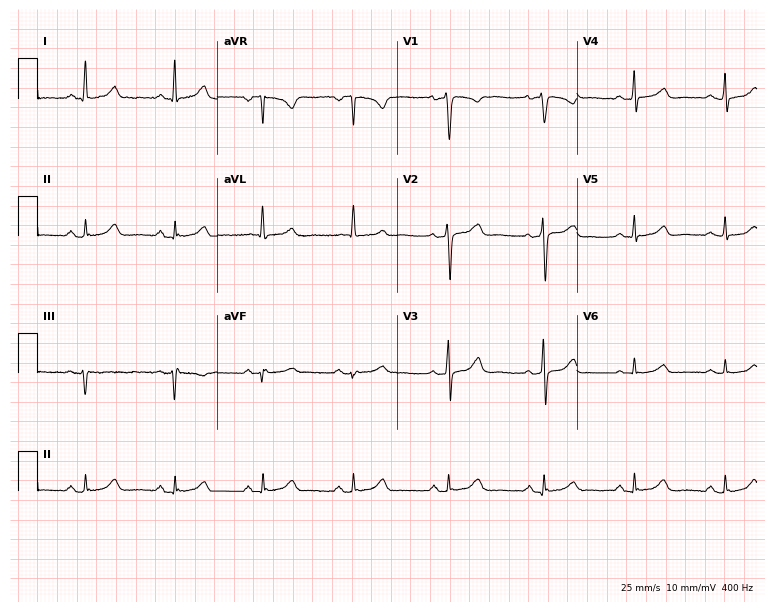
12-lead ECG from a female, 55 years old. Recorded interpretation: within normal limits.